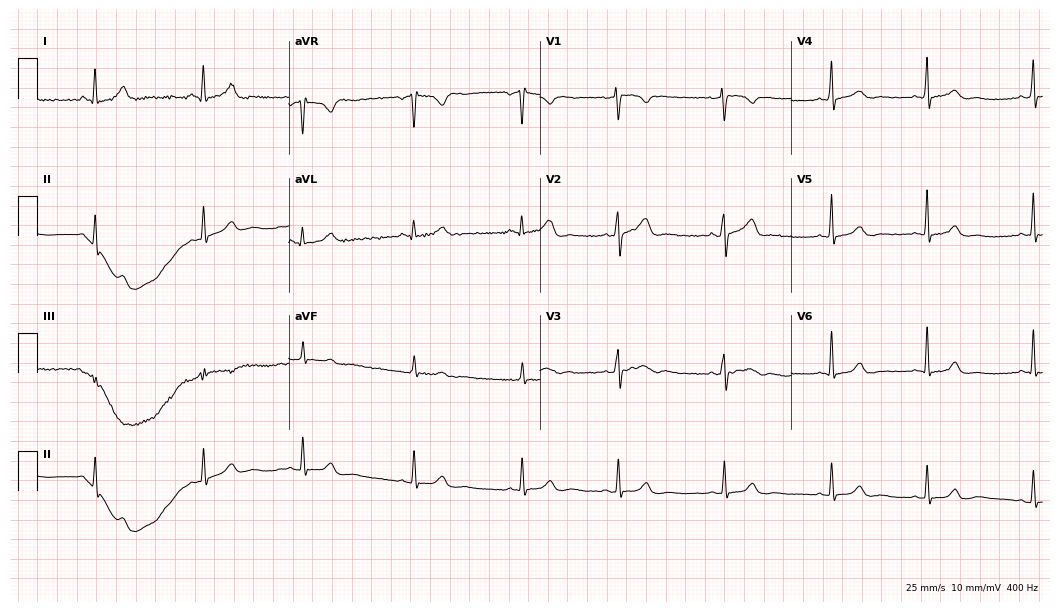
Resting 12-lead electrocardiogram. Patient: a female, 29 years old. Read as a normal ECG.